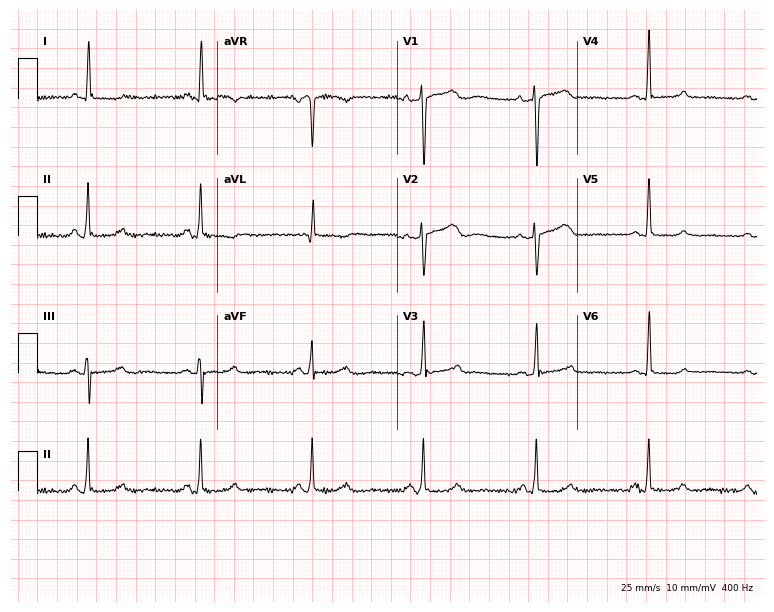
ECG (7.3-second recording at 400 Hz) — a female, 50 years old. Screened for six findings — first-degree AV block, right bundle branch block (RBBB), left bundle branch block (LBBB), sinus bradycardia, atrial fibrillation (AF), sinus tachycardia — none is recorded.